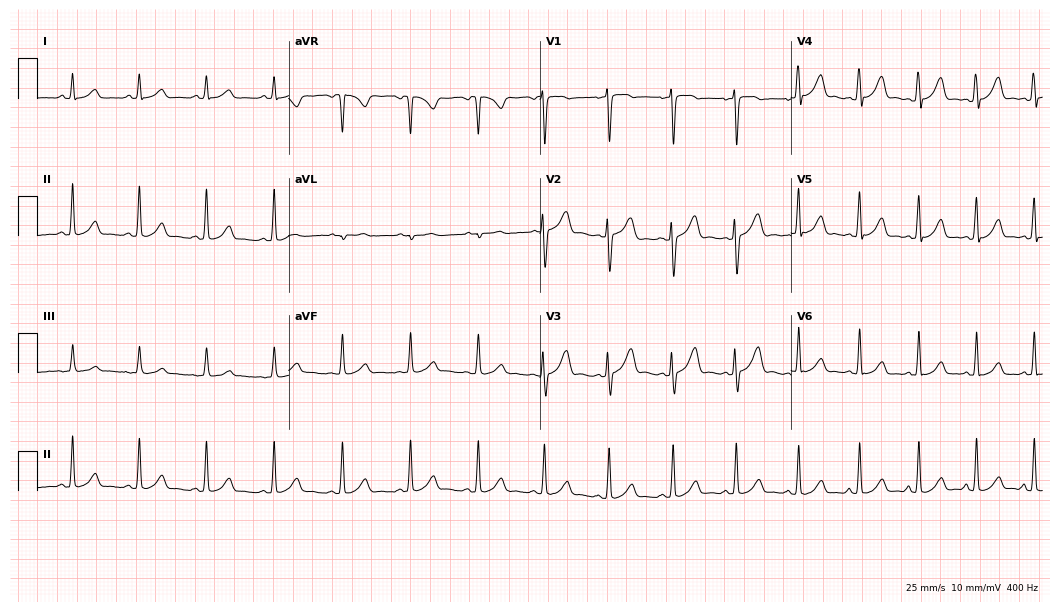
Resting 12-lead electrocardiogram (10.2-second recording at 400 Hz). Patient: a woman, 18 years old. Read as a normal ECG.